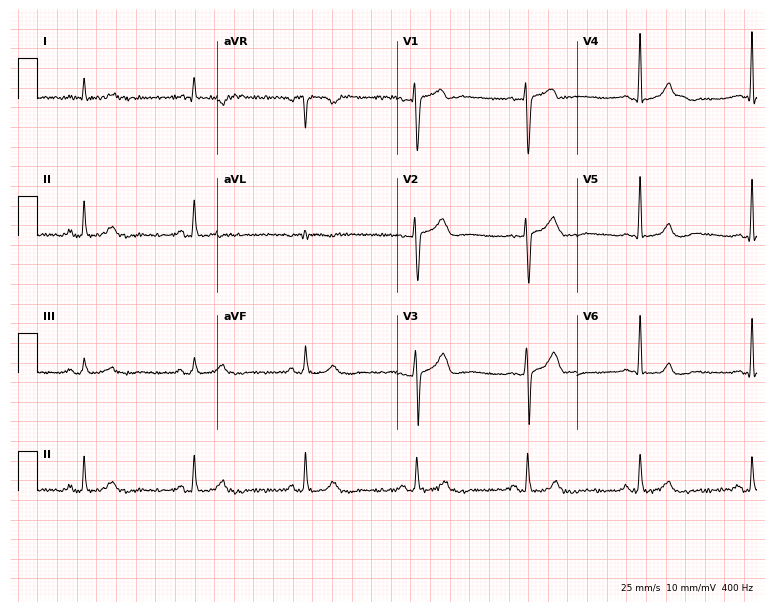
12-lead ECG (7.3-second recording at 400 Hz) from a man, 43 years old. Screened for six findings — first-degree AV block, right bundle branch block, left bundle branch block, sinus bradycardia, atrial fibrillation, sinus tachycardia — none is recorded. Findings outside these six are not listed.